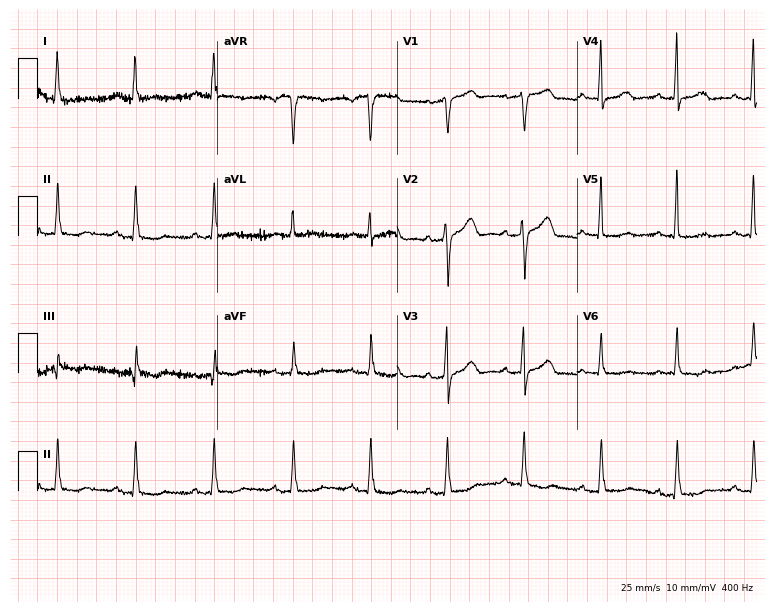
Resting 12-lead electrocardiogram. Patient: a female, 63 years old. None of these six findings is recorded: first-degree AV block, right bundle branch block, left bundle branch block, sinus bradycardia, atrial fibrillation, sinus tachycardia.